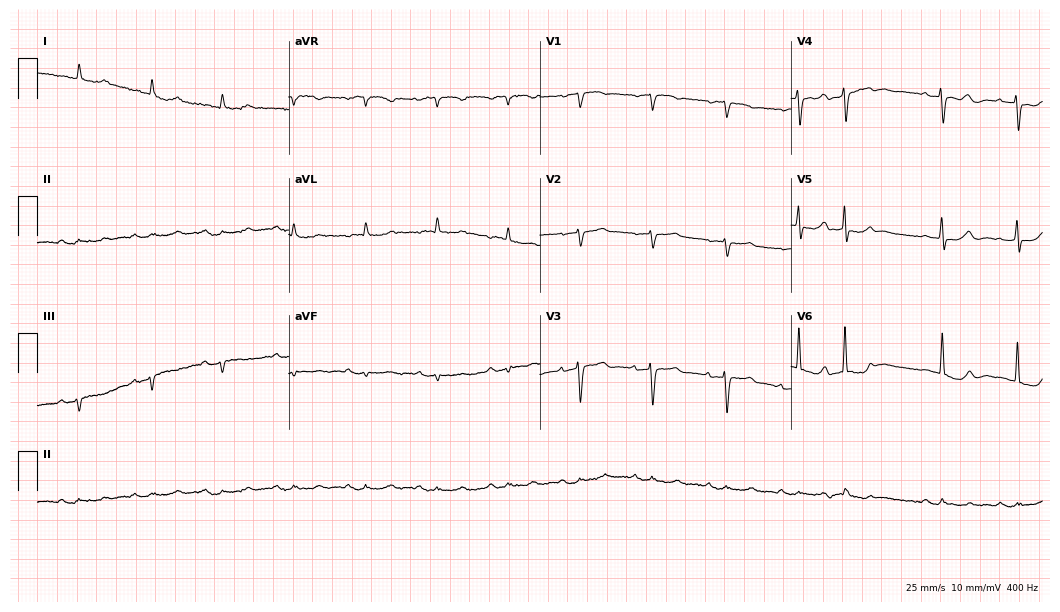
12-lead ECG from an 80-year-old female patient. No first-degree AV block, right bundle branch block, left bundle branch block, sinus bradycardia, atrial fibrillation or sinus tachycardia recorded for this tracing. Other findings, if any, are not listed.